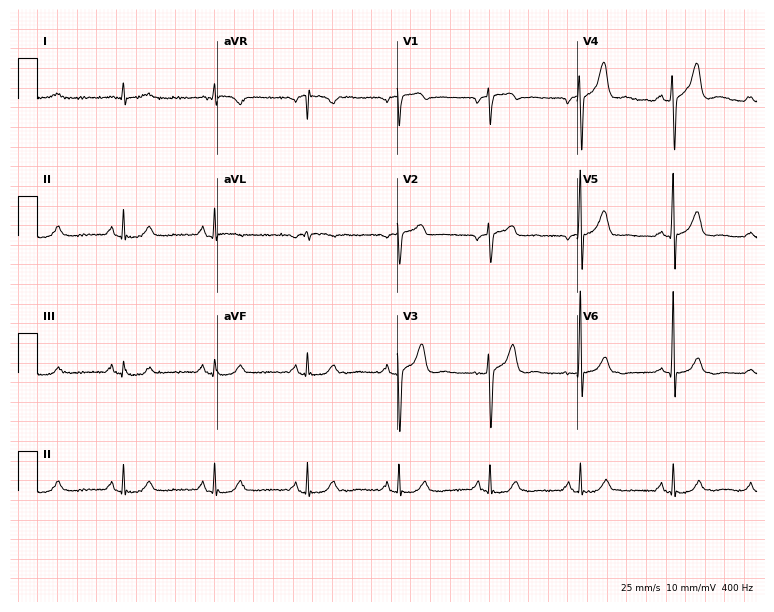
ECG (7.3-second recording at 400 Hz) — an 81-year-old man. Labelled as a normal ECG.